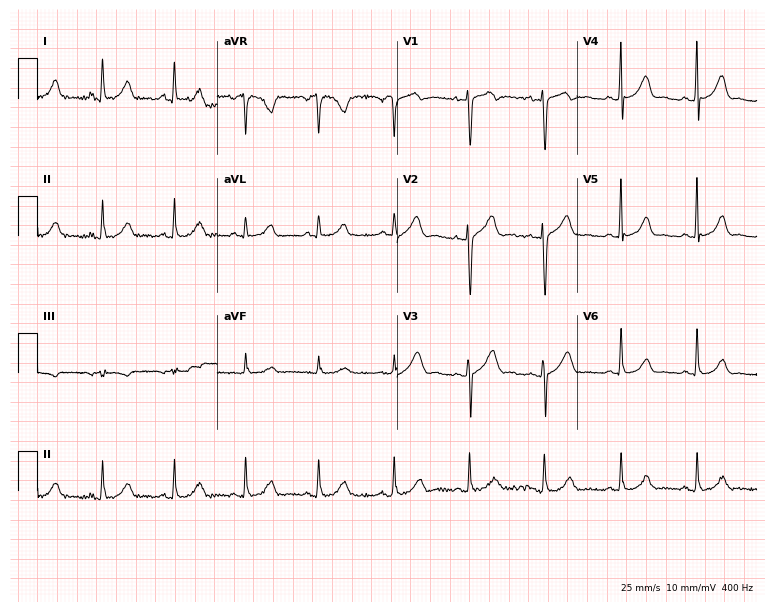
Standard 12-lead ECG recorded from a 44-year-old woman (7.3-second recording at 400 Hz). Read as a normal ECG.